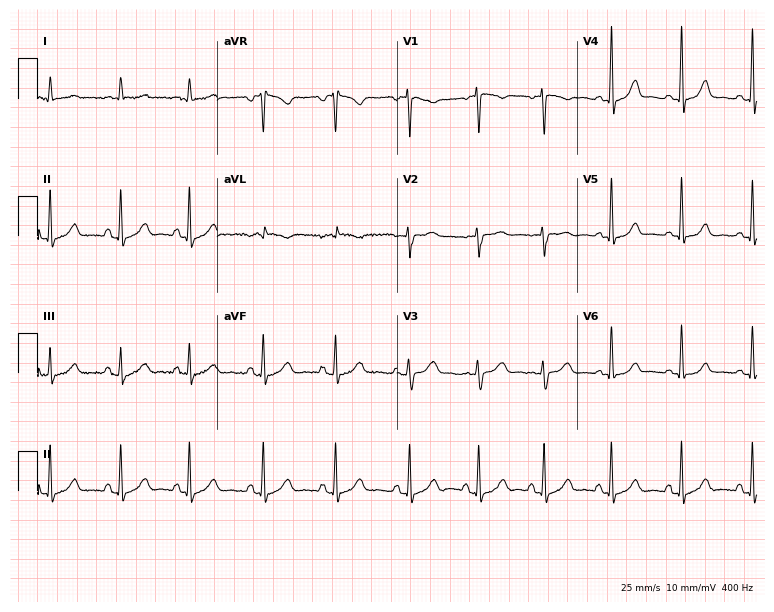
12-lead ECG (7.3-second recording at 400 Hz) from a 38-year-old female. Labelled as a normal ECG.